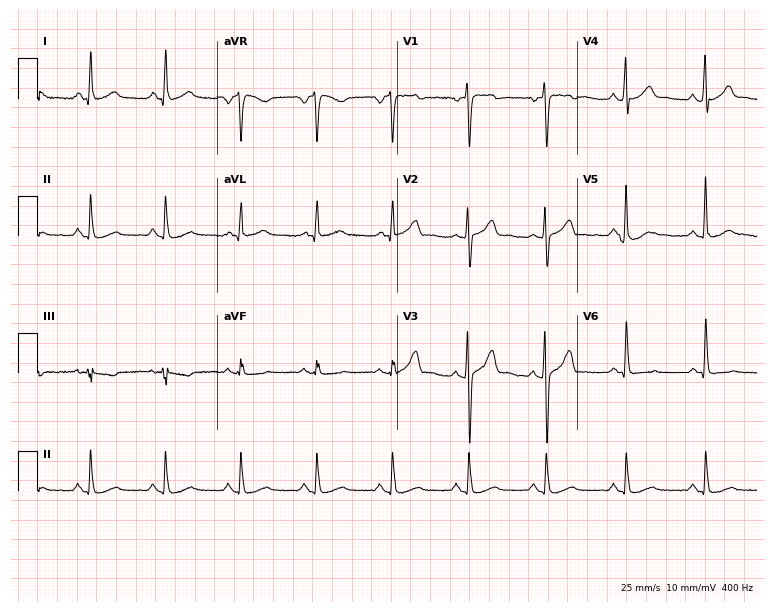
Standard 12-lead ECG recorded from a male patient, 41 years old (7.3-second recording at 400 Hz). Read as a normal ECG.